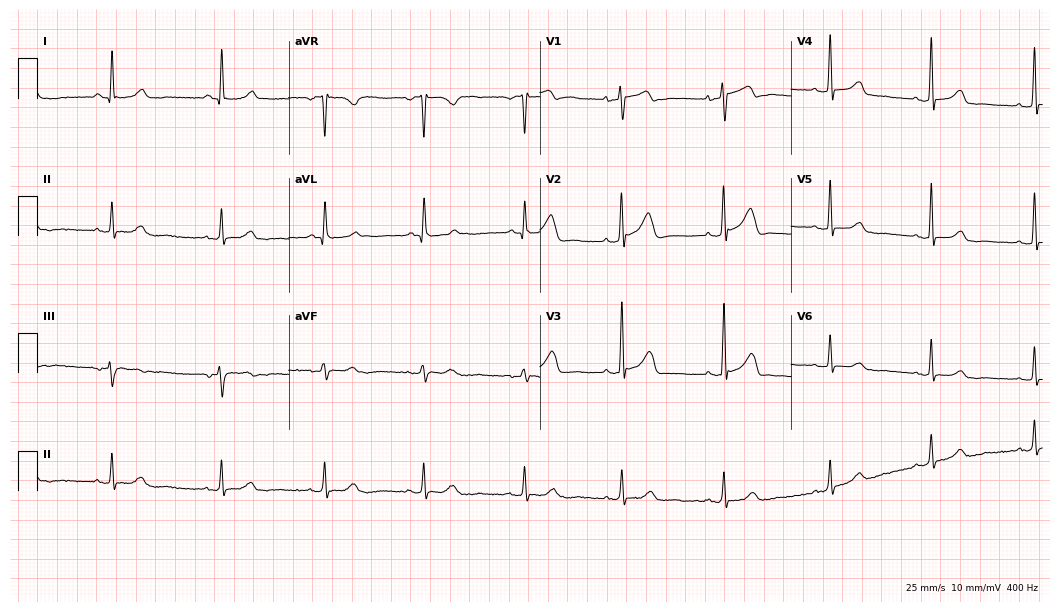
Resting 12-lead electrocardiogram. Patient: a 50-year-old woman. None of these six findings is recorded: first-degree AV block, right bundle branch block, left bundle branch block, sinus bradycardia, atrial fibrillation, sinus tachycardia.